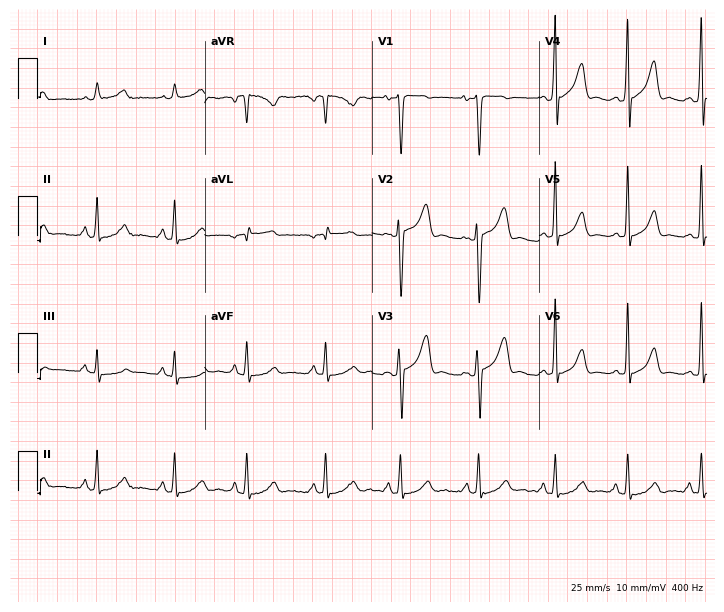
Electrocardiogram (6.8-second recording at 400 Hz), a male patient, 18 years old. Of the six screened findings (first-degree AV block, right bundle branch block (RBBB), left bundle branch block (LBBB), sinus bradycardia, atrial fibrillation (AF), sinus tachycardia), none is recorded. Only these six findings were labelled.